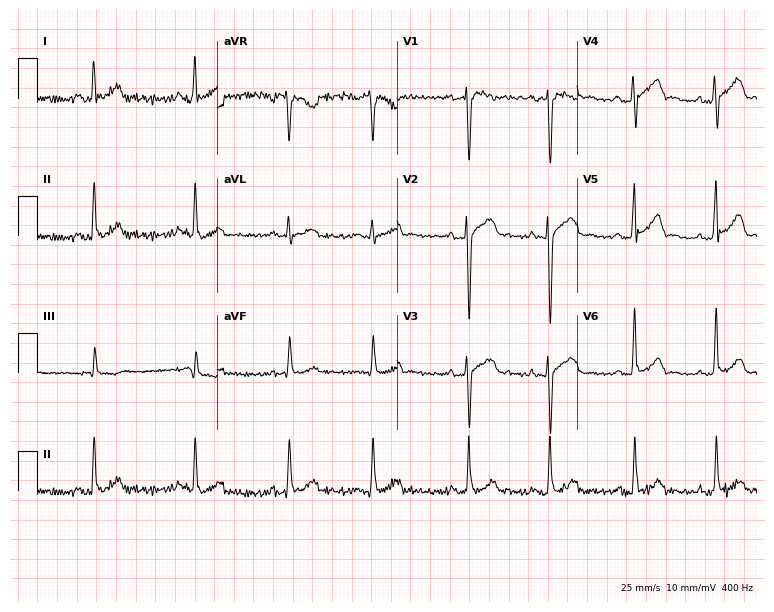
Standard 12-lead ECG recorded from a male, 20 years old. Read as a normal ECG.